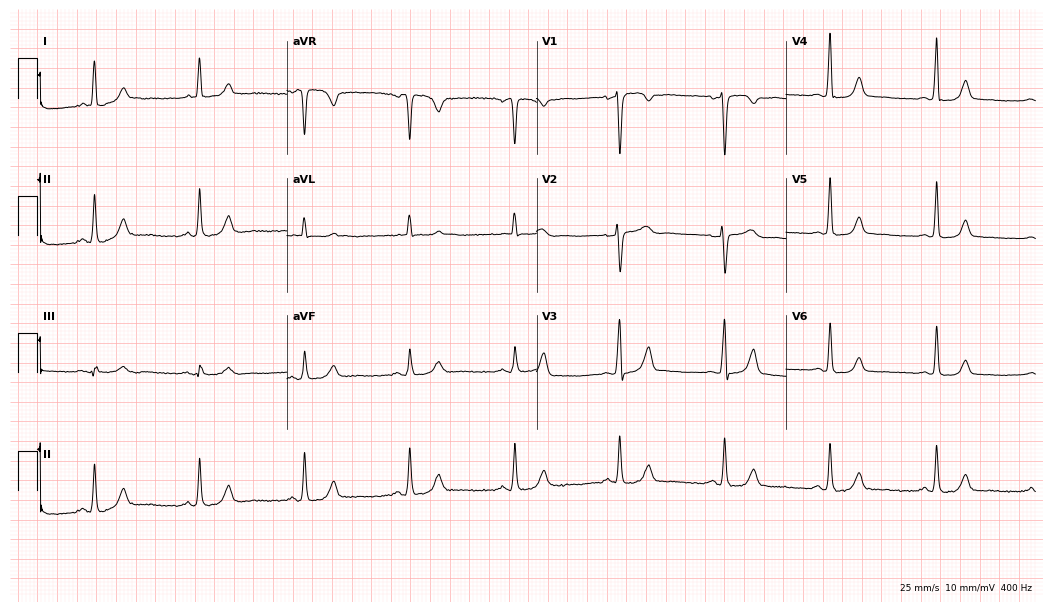
12-lead ECG from a 56-year-old female patient. Screened for six findings — first-degree AV block, right bundle branch block, left bundle branch block, sinus bradycardia, atrial fibrillation, sinus tachycardia — none is recorded.